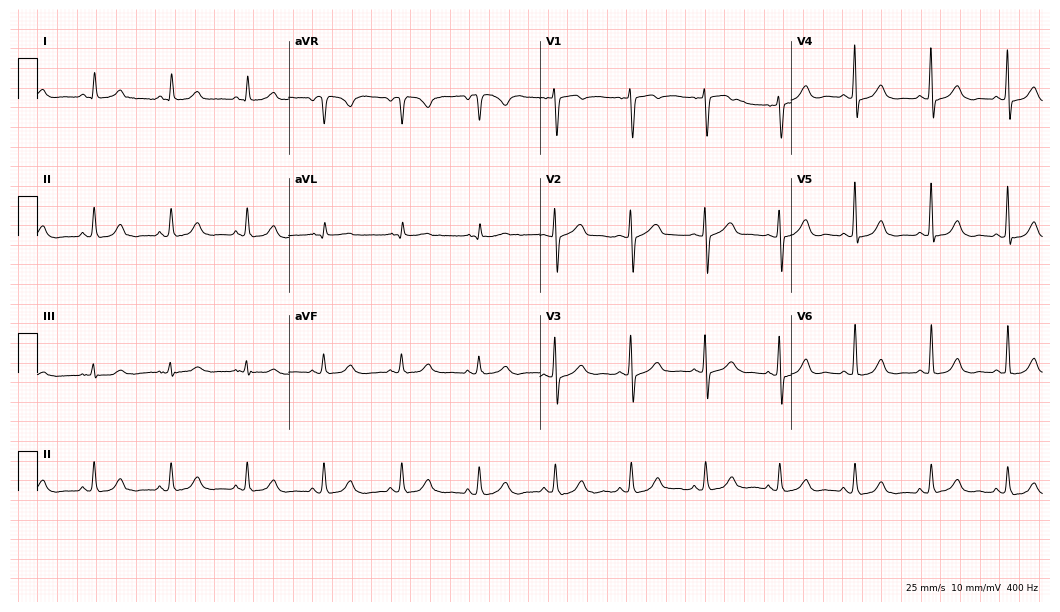
Standard 12-lead ECG recorded from a female patient, 73 years old. Read as a normal ECG.